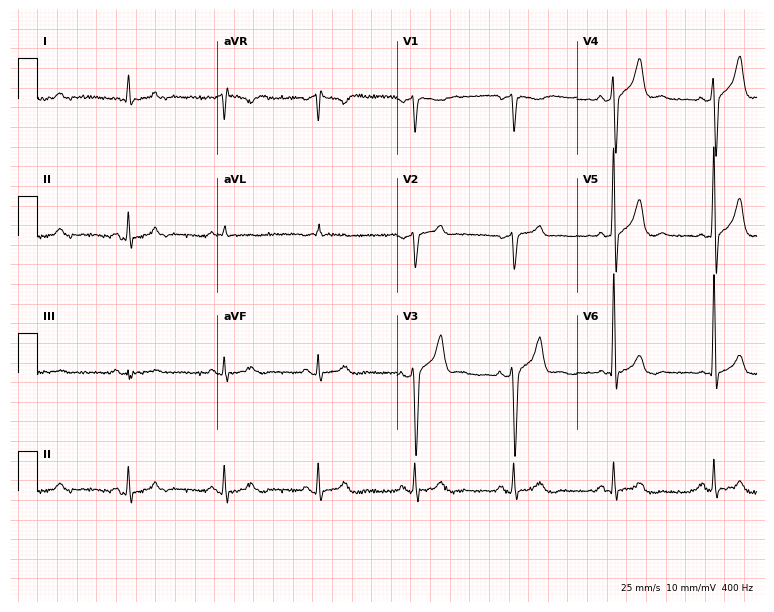
Resting 12-lead electrocardiogram. Patient: a 66-year-old man. Read as a normal ECG.